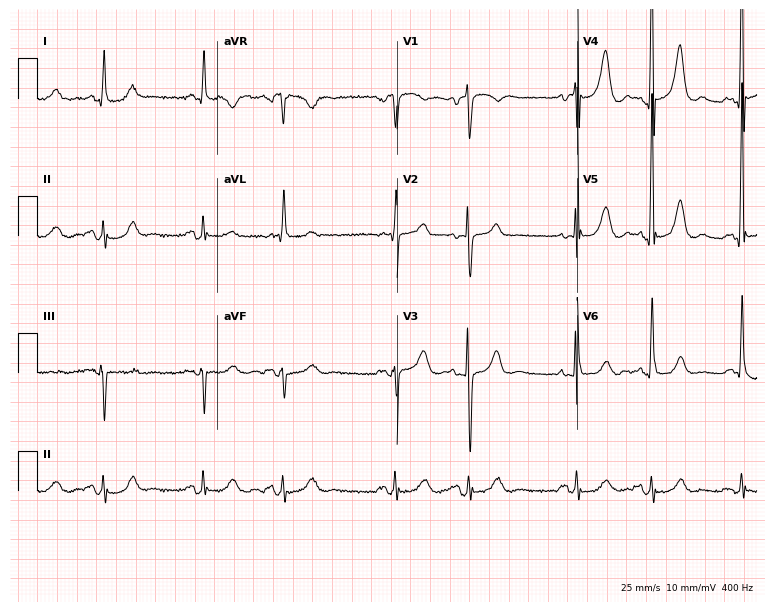
Electrocardiogram, a female, 79 years old. Of the six screened findings (first-degree AV block, right bundle branch block (RBBB), left bundle branch block (LBBB), sinus bradycardia, atrial fibrillation (AF), sinus tachycardia), none is recorded.